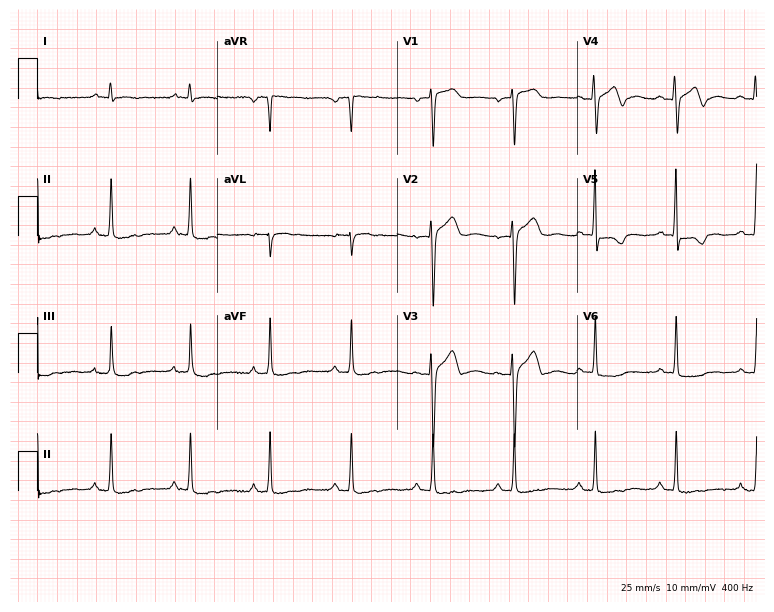
Standard 12-lead ECG recorded from a 61-year-old female. None of these six findings is recorded: first-degree AV block, right bundle branch block, left bundle branch block, sinus bradycardia, atrial fibrillation, sinus tachycardia. Other findings, if any, are not listed.